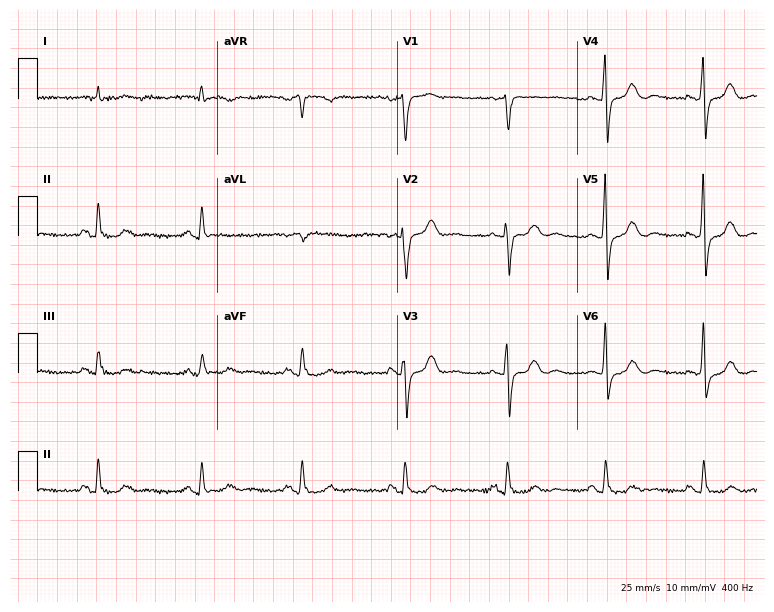
12-lead ECG from a male, 80 years old (7.3-second recording at 400 Hz). No first-degree AV block, right bundle branch block, left bundle branch block, sinus bradycardia, atrial fibrillation or sinus tachycardia recorded for this tracing.